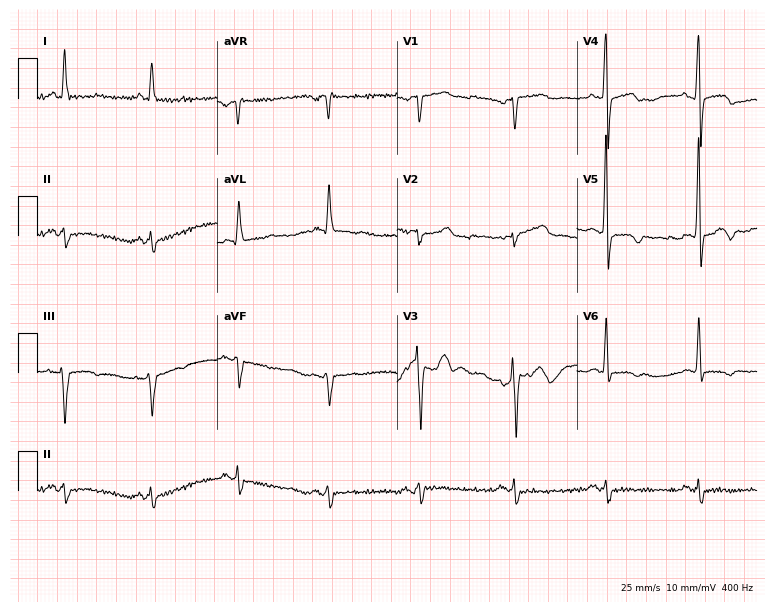
ECG (7.3-second recording at 400 Hz) — a 72-year-old man. Screened for six findings — first-degree AV block, right bundle branch block (RBBB), left bundle branch block (LBBB), sinus bradycardia, atrial fibrillation (AF), sinus tachycardia — none is recorded. Only these six findings were labelled.